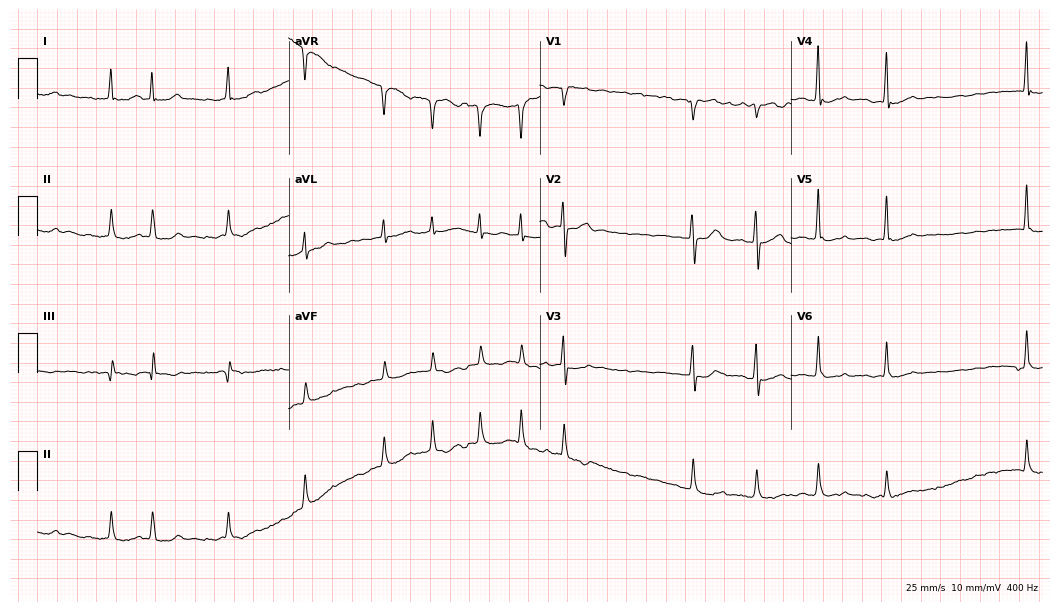
Electrocardiogram (10.2-second recording at 400 Hz), a woman, 82 years old. Interpretation includes atrial fibrillation (AF).